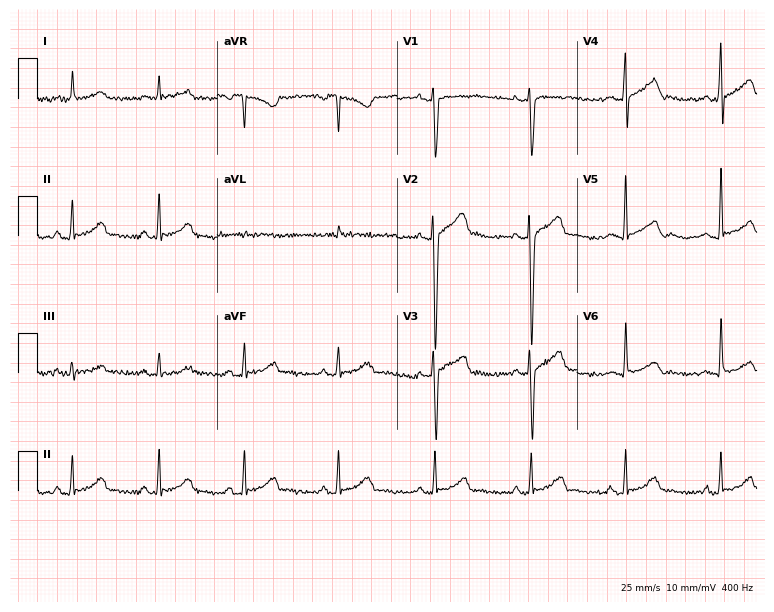
Resting 12-lead electrocardiogram (7.3-second recording at 400 Hz). Patient: a man, 40 years old. Read as a normal ECG.